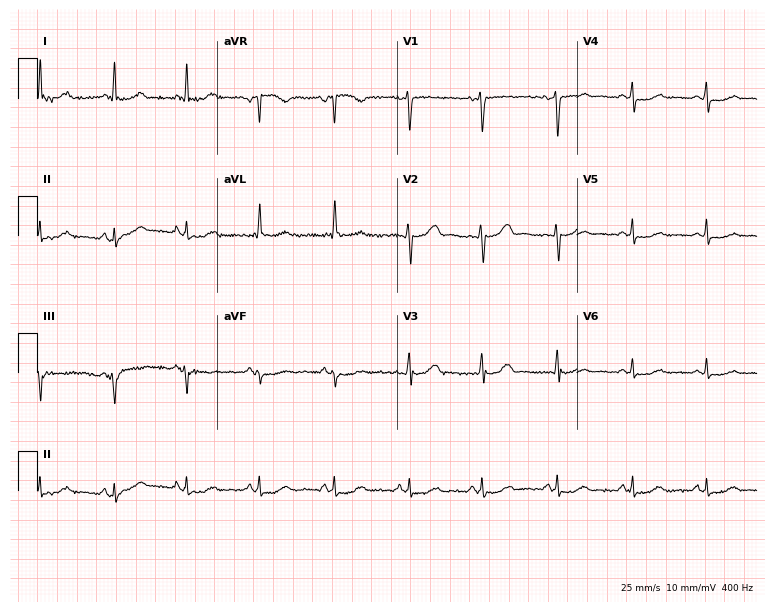
12-lead ECG (7.3-second recording at 400 Hz) from a 51-year-old woman. Screened for six findings — first-degree AV block, right bundle branch block, left bundle branch block, sinus bradycardia, atrial fibrillation, sinus tachycardia — none is recorded.